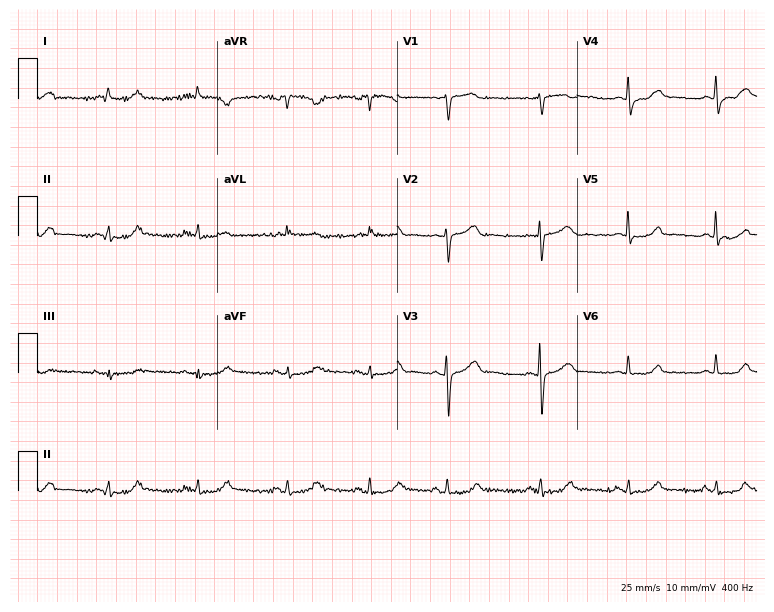
12-lead ECG (7.3-second recording at 400 Hz) from a 74-year-old female. Labelled as a normal ECG.